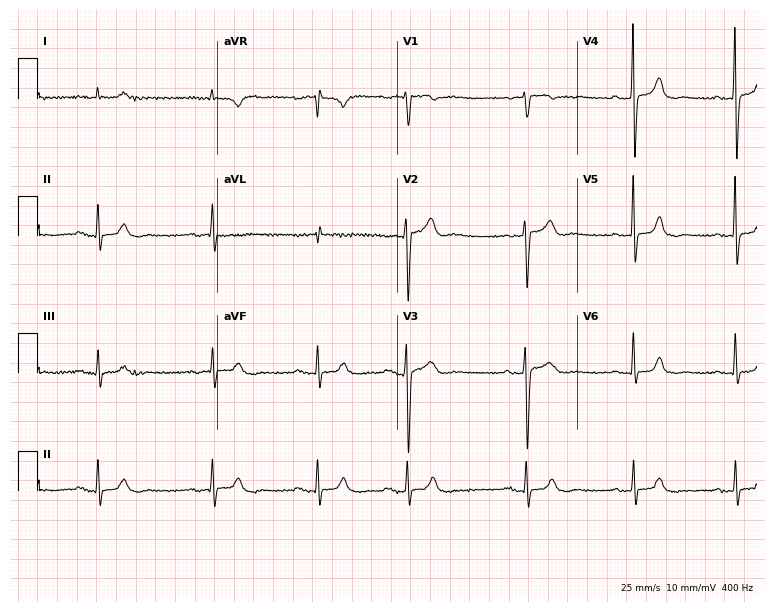
Standard 12-lead ECG recorded from a woman, 82 years old (7.3-second recording at 400 Hz). None of these six findings is recorded: first-degree AV block, right bundle branch block, left bundle branch block, sinus bradycardia, atrial fibrillation, sinus tachycardia. Findings outside these six are not listed.